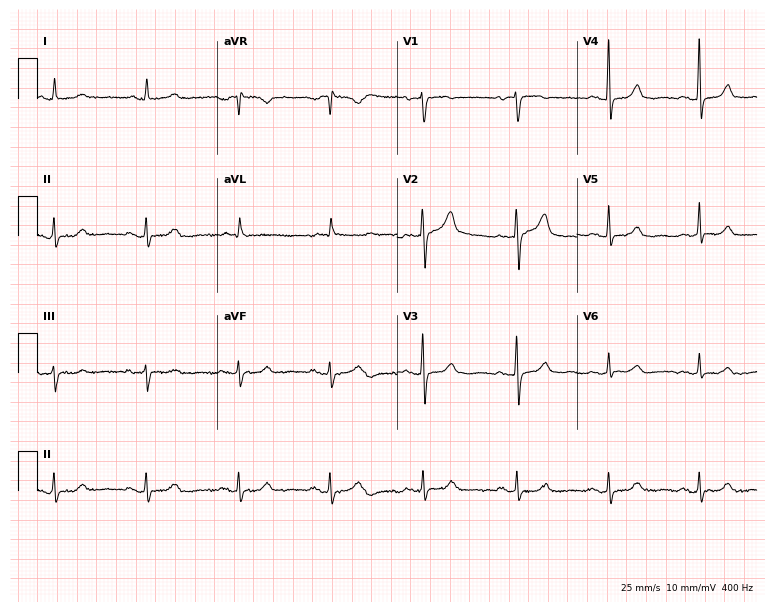
12-lead ECG from a female, 76 years old (7.3-second recording at 400 Hz). Recorded interpretation: within normal limits.